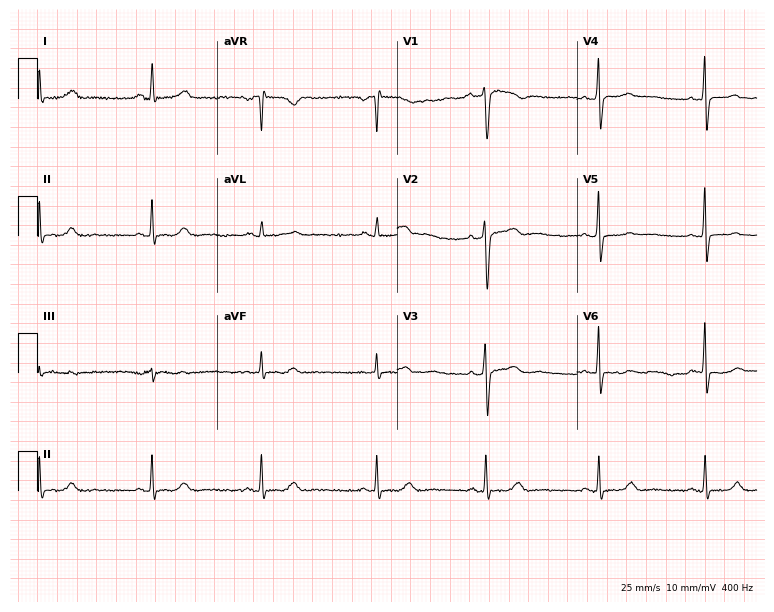
Resting 12-lead electrocardiogram. Patient: a female, 37 years old. None of these six findings is recorded: first-degree AV block, right bundle branch block, left bundle branch block, sinus bradycardia, atrial fibrillation, sinus tachycardia.